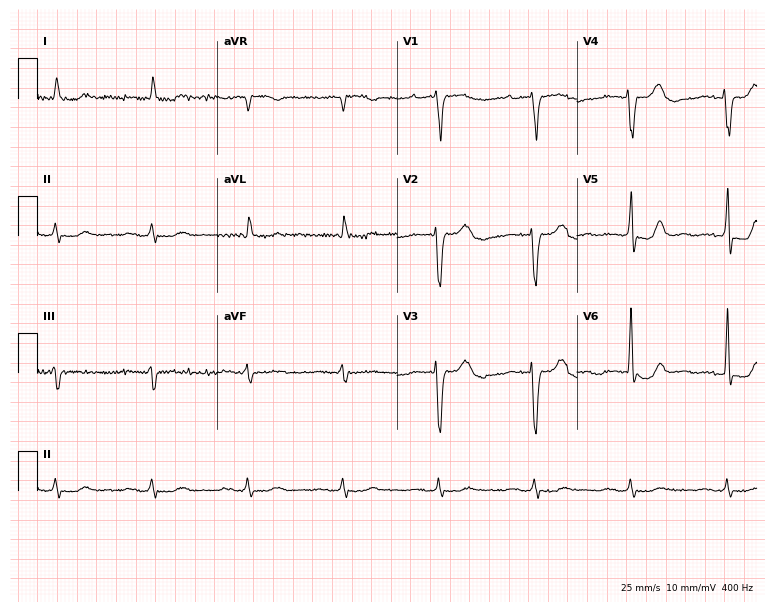
12-lead ECG from a woman, 81 years old. Screened for six findings — first-degree AV block, right bundle branch block, left bundle branch block, sinus bradycardia, atrial fibrillation, sinus tachycardia — none is recorded.